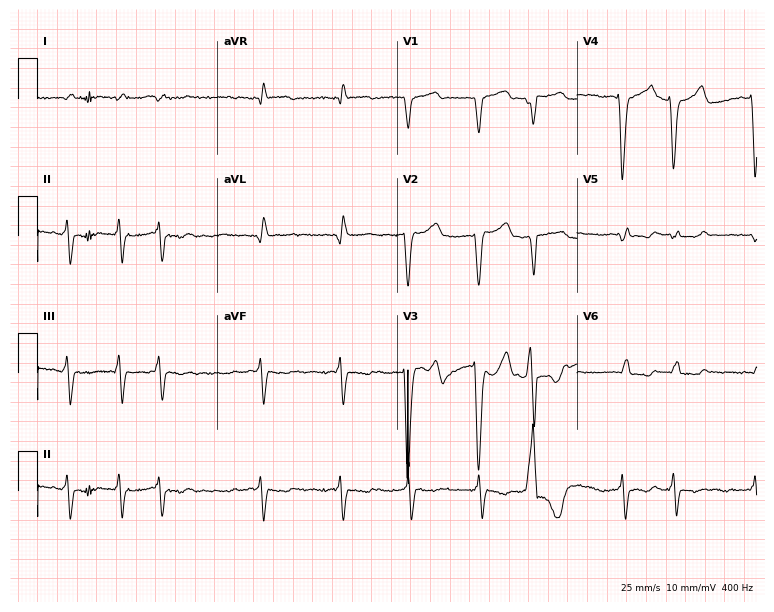
12-lead ECG from an 85-year-old man. Findings include atrial fibrillation (AF).